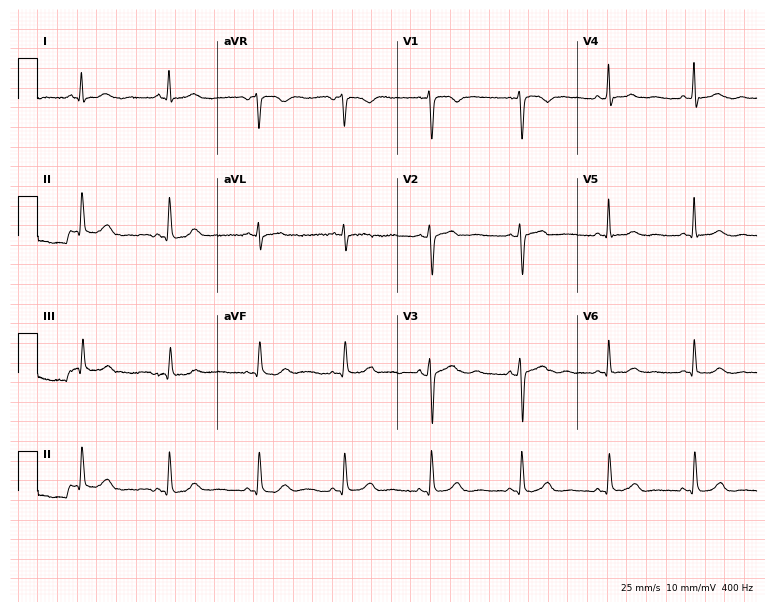
ECG — a female, 47 years old. Labelled as a normal ECG.